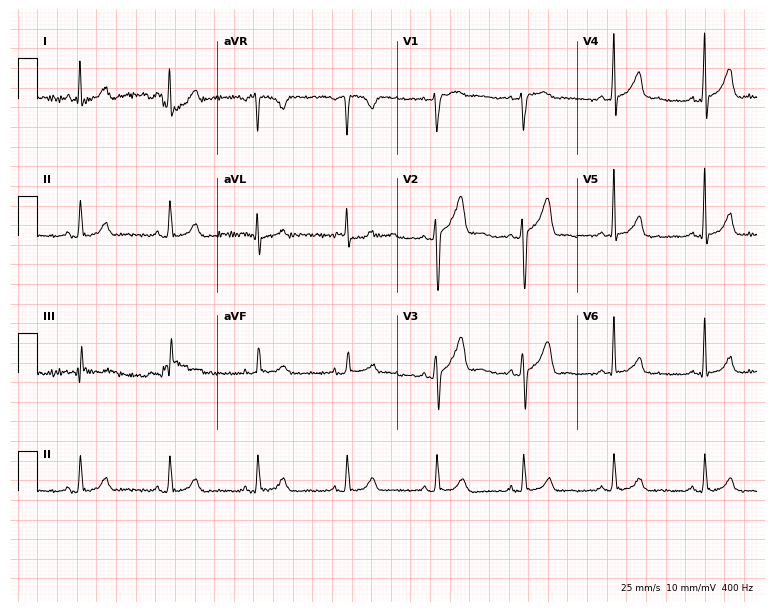
12-lead ECG from a male, 37 years old. Screened for six findings — first-degree AV block, right bundle branch block, left bundle branch block, sinus bradycardia, atrial fibrillation, sinus tachycardia — none is recorded.